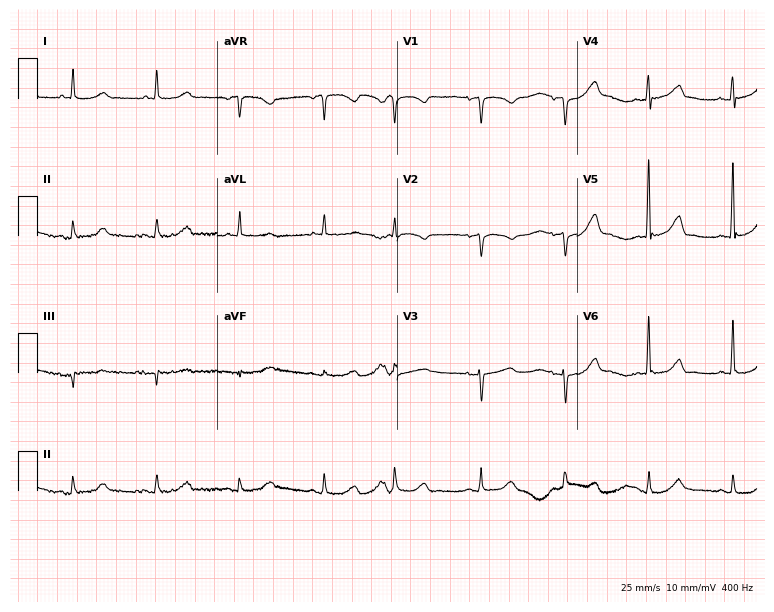
12-lead ECG from an 85-year-old female (7.3-second recording at 400 Hz). No first-degree AV block, right bundle branch block, left bundle branch block, sinus bradycardia, atrial fibrillation or sinus tachycardia recorded for this tracing.